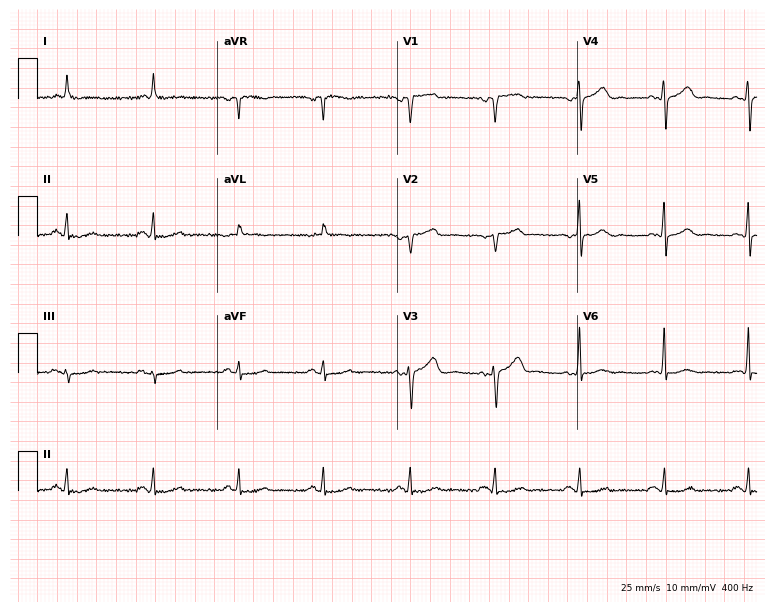
12-lead ECG (7.3-second recording at 400 Hz) from a male patient, 68 years old. Screened for six findings — first-degree AV block, right bundle branch block, left bundle branch block, sinus bradycardia, atrial fibrillation, sinus tachycardia — none is recorded.